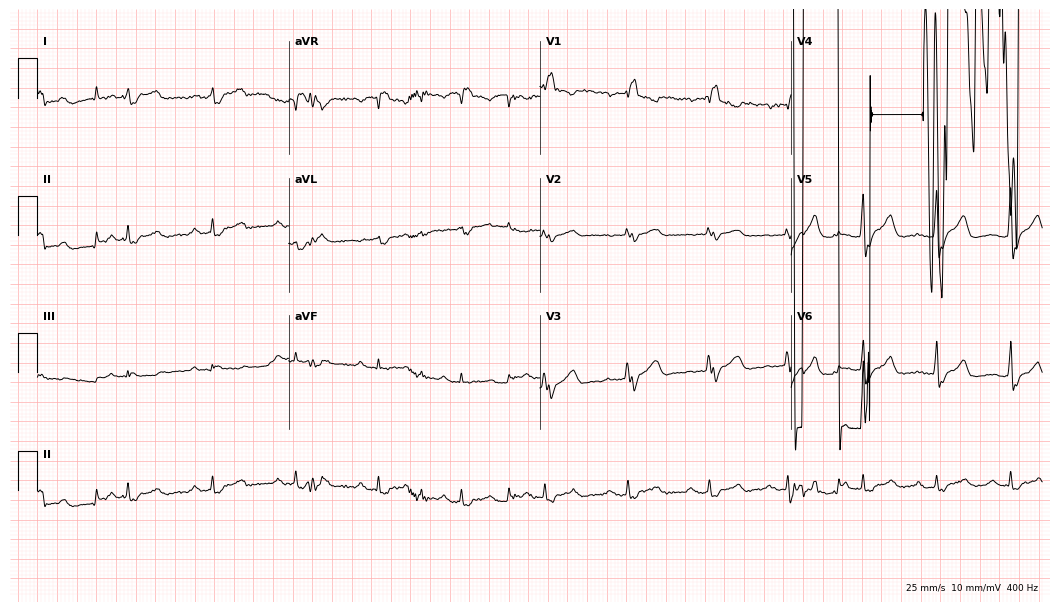
Electrocardiogram, a 66-year-old male. Of the six screened findings (first-degree AV block, right bundle branch block, left bundle branch block, sinus bradycardia, atrial fibrillation, sinus tachycardia), none is recorded.